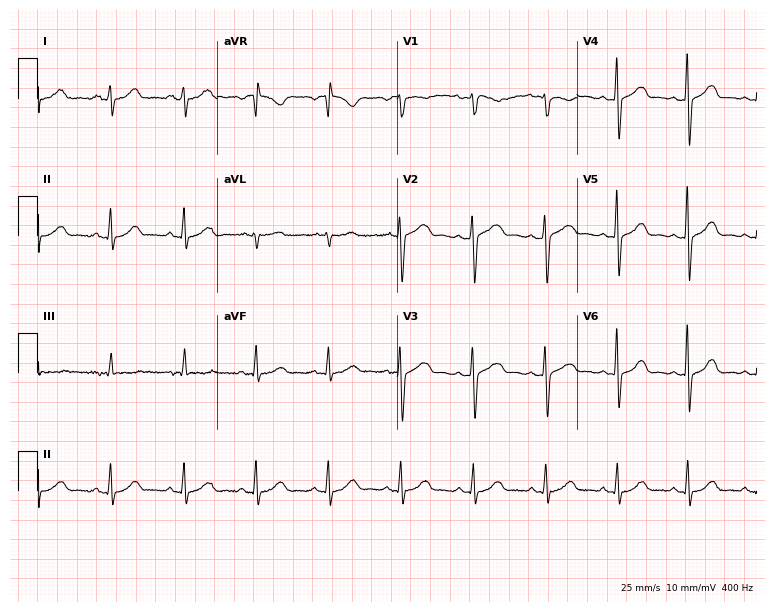
Resting 12-lead electrocardiogram (7.3-second recording at 400 Hz). Patient: a woman, 41 years old. Read as a normal ECG.